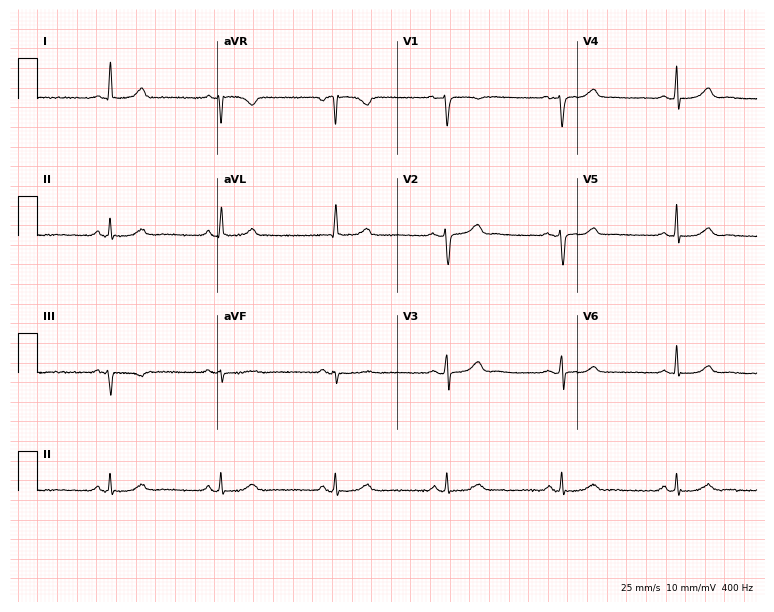
12-lead ECG from a 47-year-old female (7.3-second recording at 400 Hz). No first-degree AV block, right bundle branch block, left bundle branch block, sinus bradycardia, atrial fibrillation or sinus tachycardia recorded for this tracing.